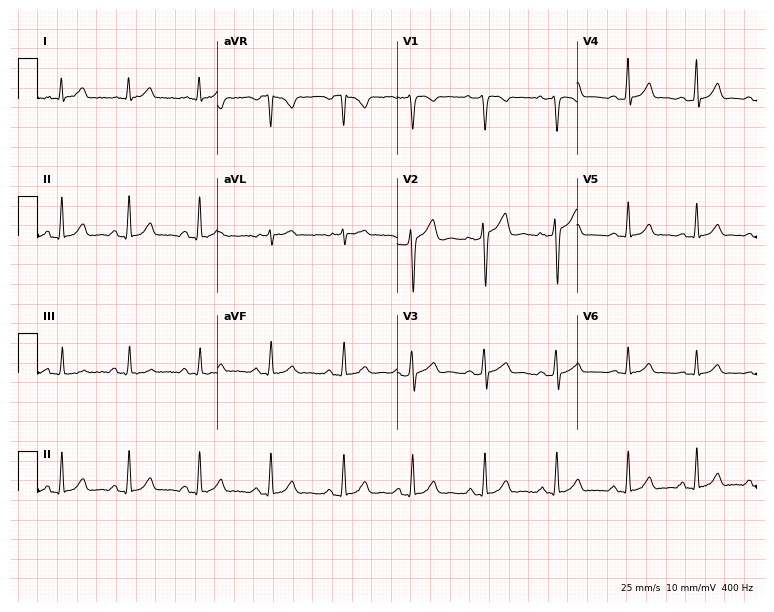
Standard 12-lead ECG recorded from a 26-year-old female (7.3-second recording at 400 Hz). None of these six findings is recorded: first-degree AV block, right bundle branch block, left bundle branch block, sinus bradycardia, atrial fibrillation, sinus tachycardia. Other findings, if any, are not listed.